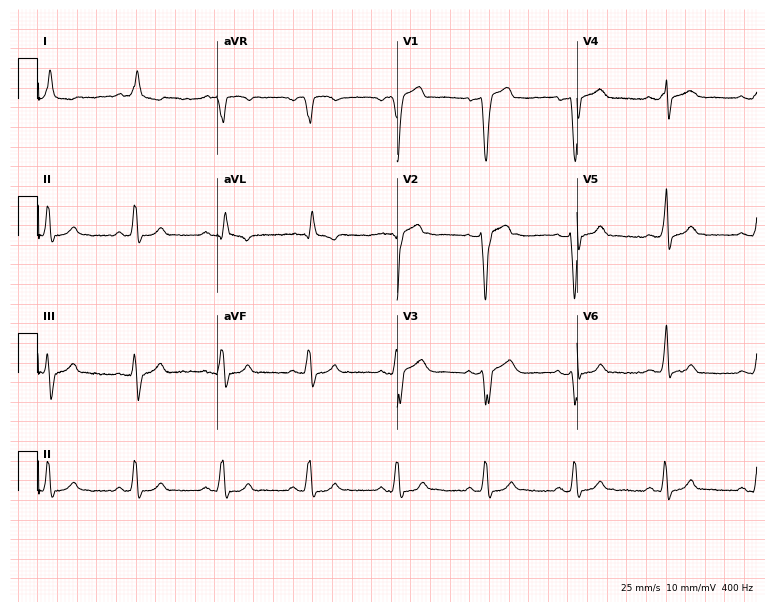
ECG — a man, 57 years old. Screened for six findings — first-degree AV block, right bundle branch block (RBBB), left bundle branch block (LBBB), sinus bradycardia, atrial fibrillation (AF), sinus tachycardia — none is recorded.